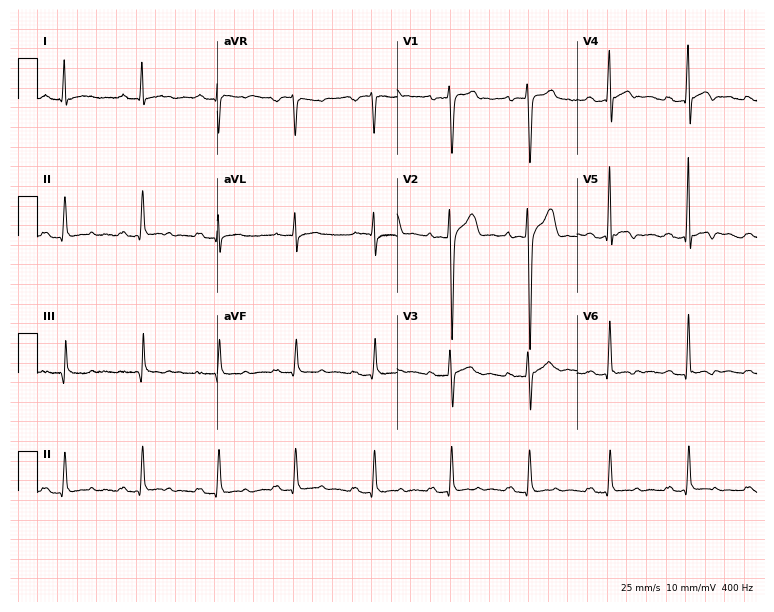
Standard 12-lead ECG recorded from a 38-year-old man (7.3-second recording at 400 Hz). None of these six findings is recorded: first-degree AV block, right bundle branch block (RBBB), left bundle branch block (LBBB), sinus bradycardia, atrial fibrillation (AF), sinus tachycardia.